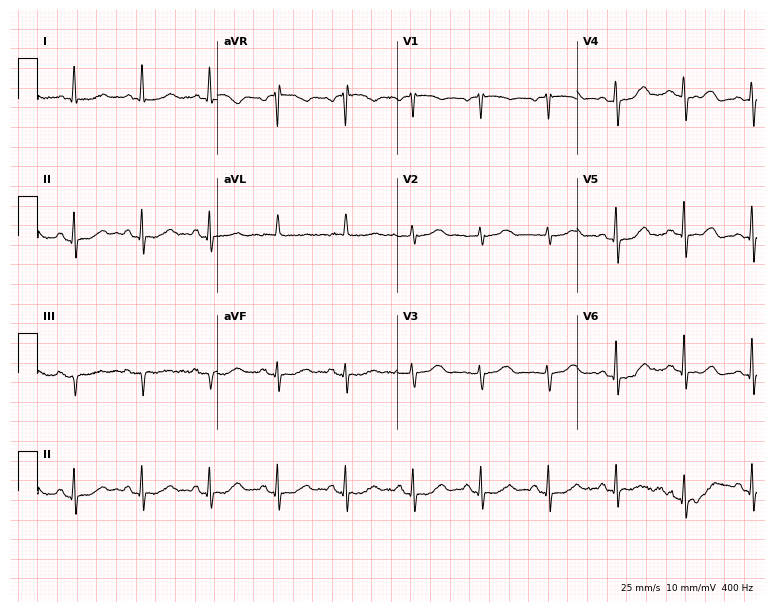
Resting 12-lead electrocardiogram. Patient: a female, 79 years old. Read as a normal ECG.